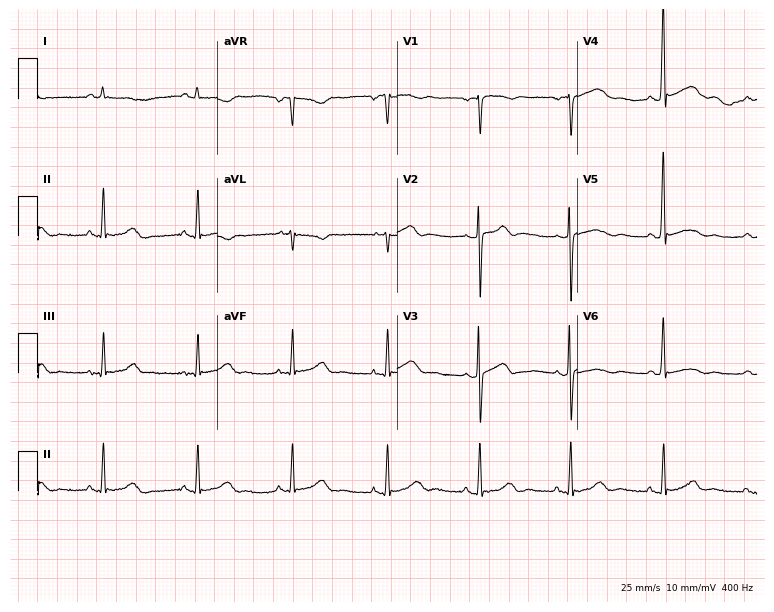
Electrocardiogram (7.3-second recording at 400 Hz), a man, 56 years old. Of the six screened findings (first-degree AV block, right bundle branch block (RBBB), left bundle branch block (LBBB), sinus bradycardia, atrial fibrillation (AF), sinus tachycardia), none is recorded.